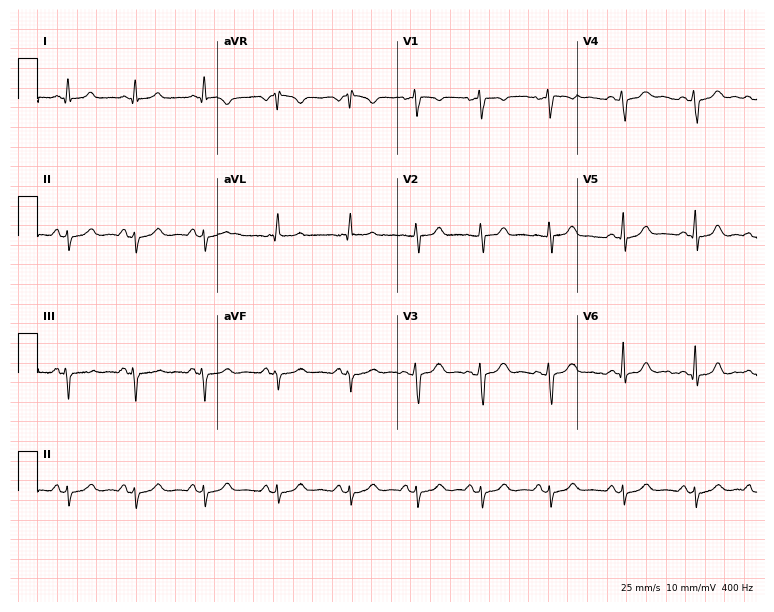
12-lead ECG from a female, 24 years old (7.3-second recording at 400 Hz). No first-degree AV block, right bundle branch block (RBBB), left bundle branch block (LBBB), sinus bradycardia, atrial fibrillation (AF) or sinus tachycardia recorded for this tracing. Findings outside these six are not listed.